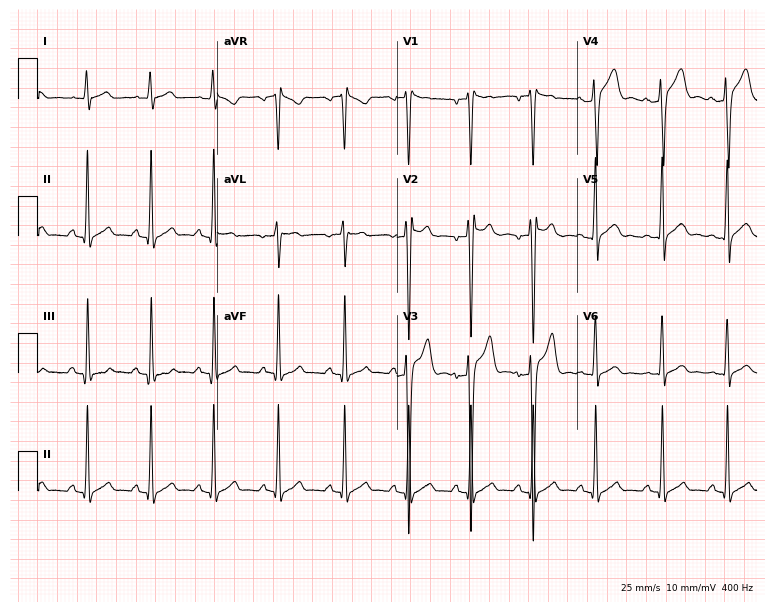
Resting 12-lead electrocardiogram (7.3-second recording at 400 Hz). Patient: a 19-year-old male. Read as a normal ECG.